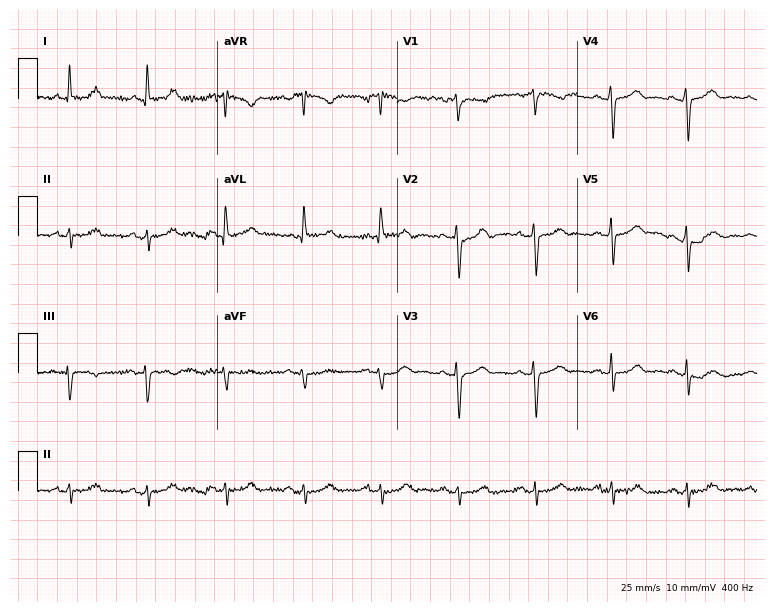
Electrocardiogram, a male, 75 years old. Of the six screened findings (first-degree AV block, right bundle branch block, left bundle branch block, sinus bradycardia, atrial fibrillation, sinus tachycardia), none is recorded. Other findings, if any, are not listed.